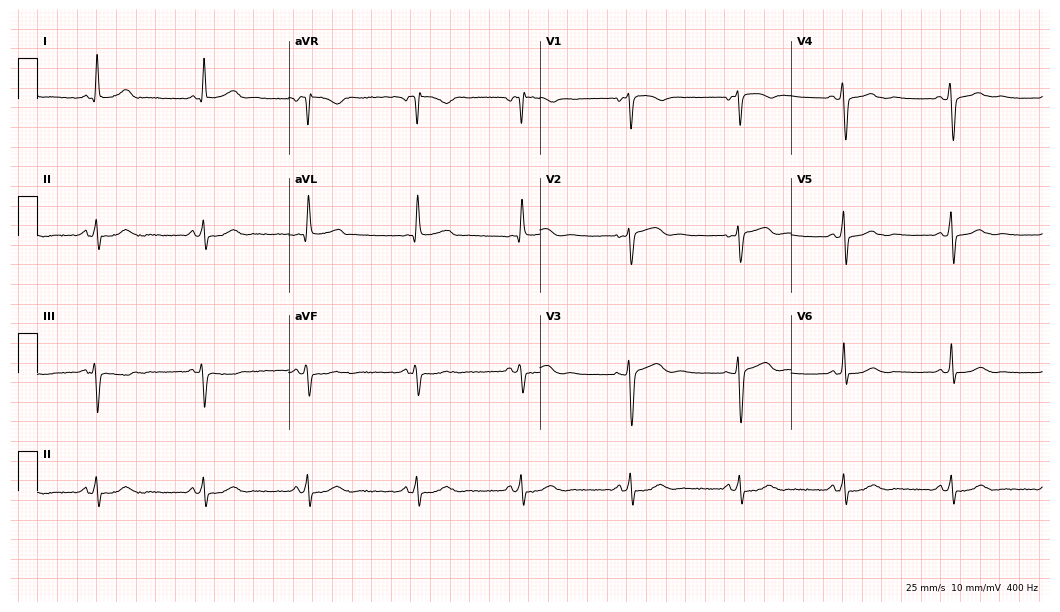
Electrocardiogram, a 56-year-old woman. Overall reading on record: normal ECG.